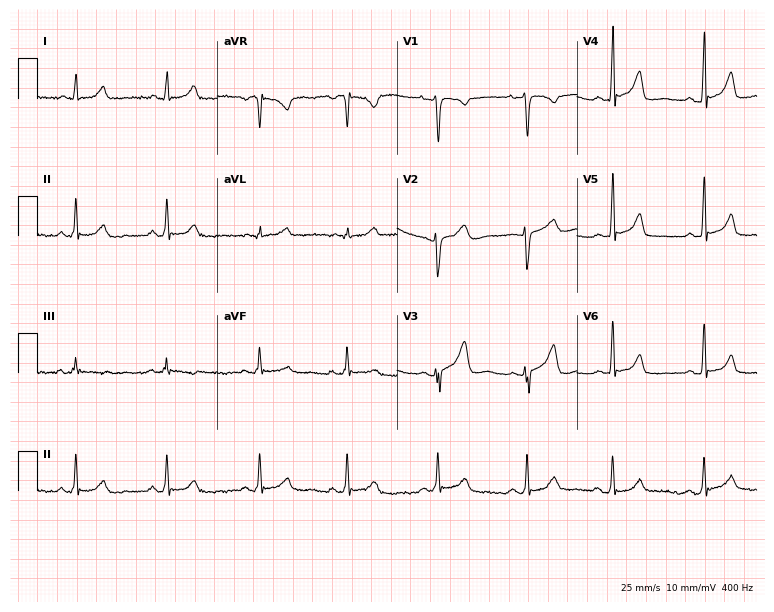
Resting 12-lead electrocardiogram. Patient: a 31-year-old female. Read as a normal ECG.